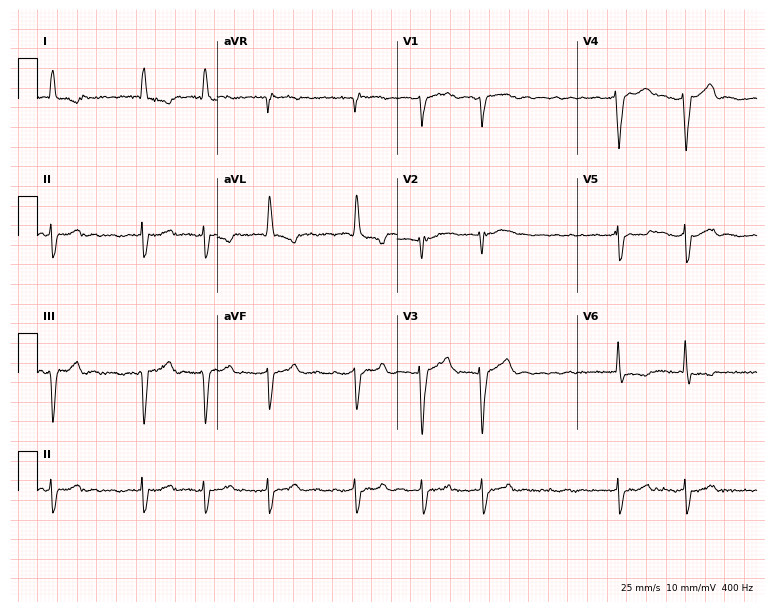
12-lead ECG (7.3-second recording at 400 Hz) from an 85-year-old male patient. Findings include atrial fibrillation.